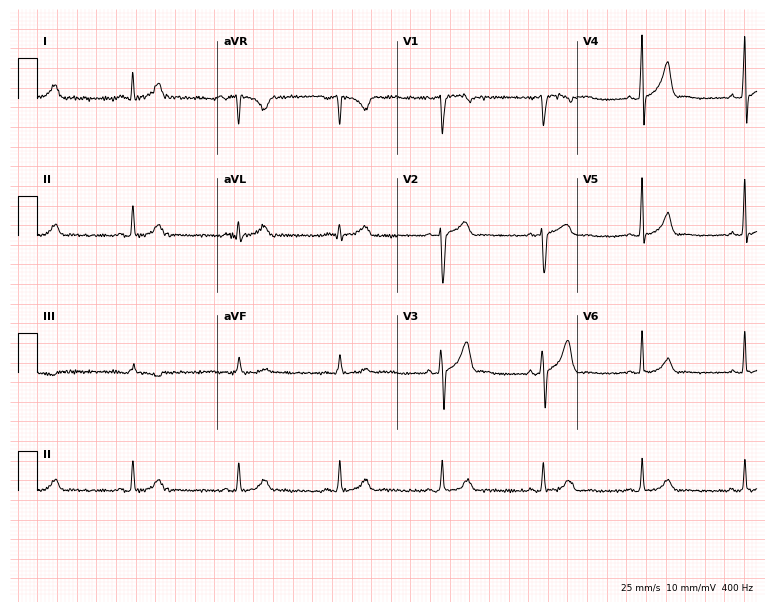
Electrocardiogram (7.3-second recording at 400 Hz), a male, 32 years old. Overall reading on record: normal ECG.